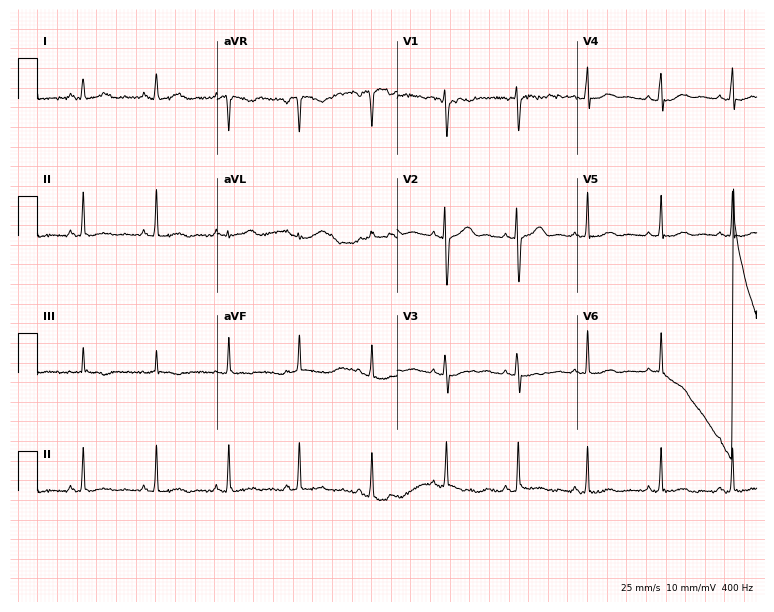
Resting 12-lead electrocardiogram (7.3-second recording at 400 Hz). Patient: a female, 29 years old. None of these six findings is recorded: first-degree AV block, right bundle branch block, left bundle branch block, sinus bradycardia, atrial fibrillation, sinus tachycardia. Only these six findings were labelled.